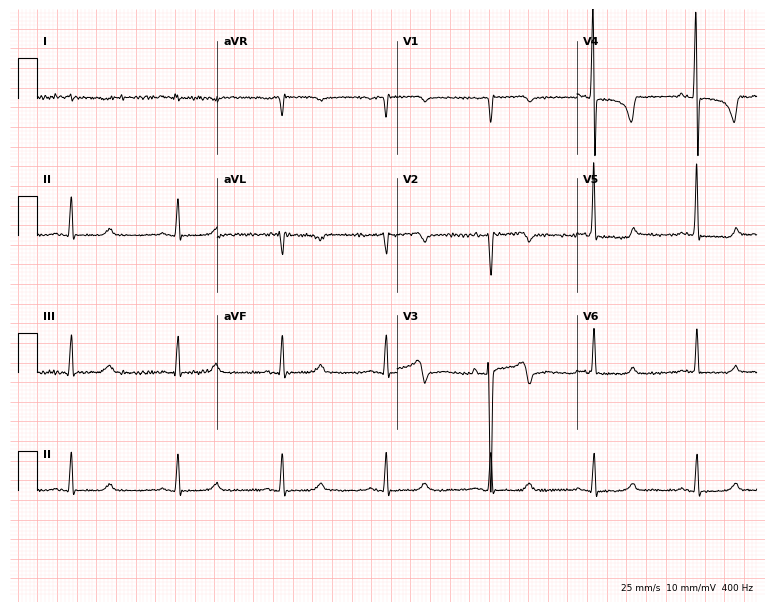
Electrocardiogram (7.3-second recording at 400 Hz), a 77-year-old man. Of the six screened findings (first-degree AV block, right bundle branch block, left bundle branch block, sinus bradycardia, atrial fibrillation, sinus tachycardia), none is recorded.